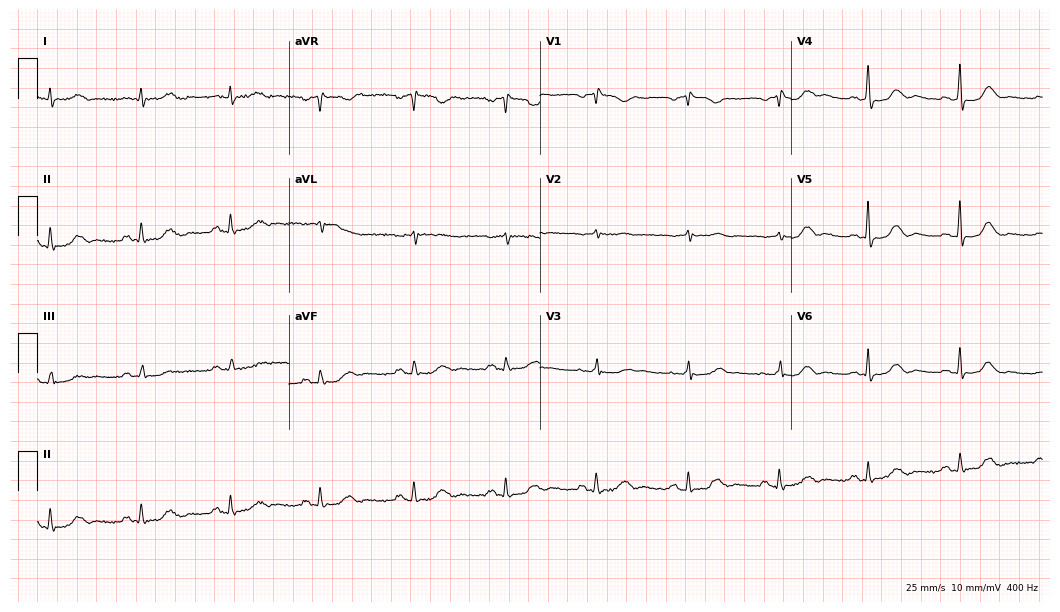
Standard 12-lead ECG recorded from a 72-year-old woman (10.2-second recording at 400 Hz). Read as a normal ECG.